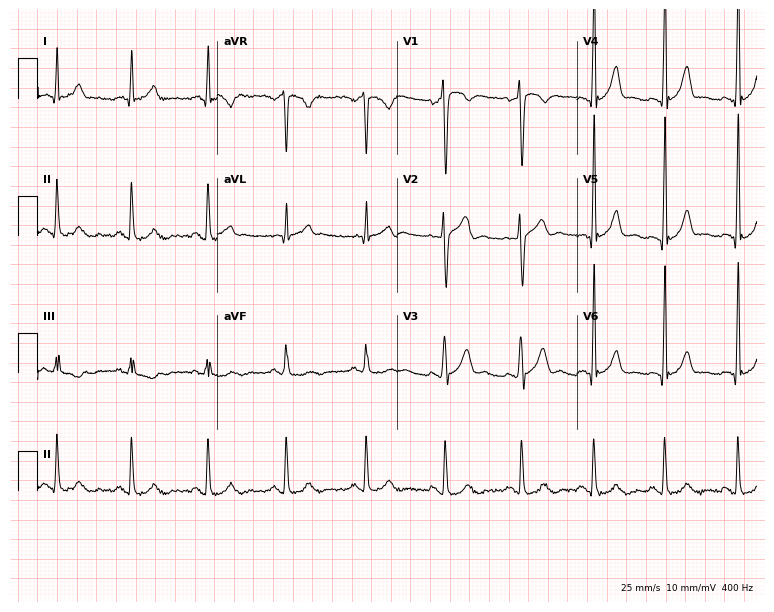
12-lead ECG from a male, 37 years old. No first-degree AV block, right bundle branch block, left bundle branch block, sinus bradycardia, atrial fibrillation or sinus tachycardia recorded for this tracing.